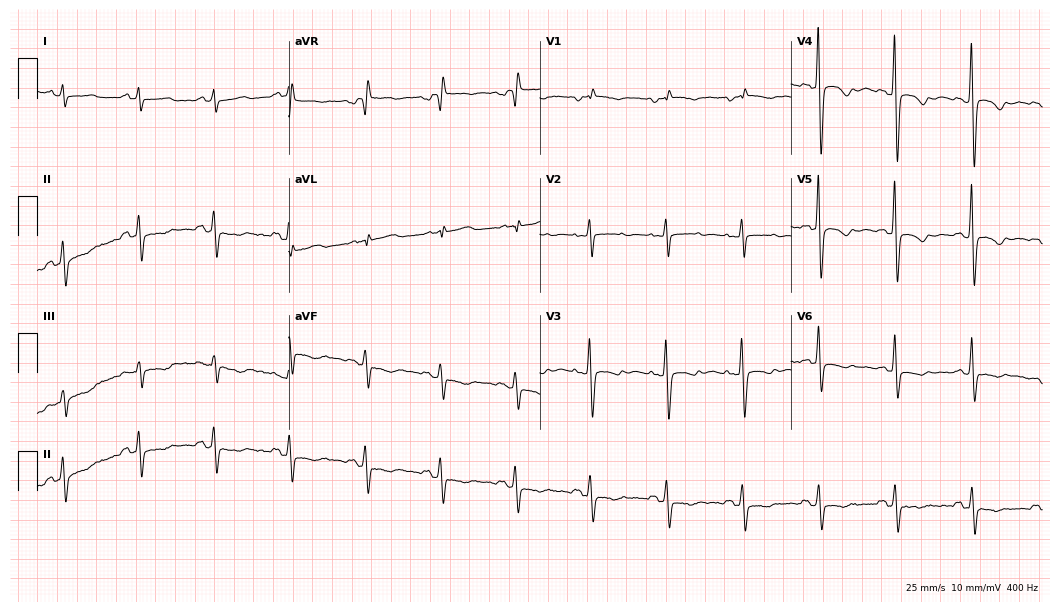
ECG — a 48-year-old female patient. Screened for six findings — first-degree AV block, right bundle branch block, left bundle branch block, sinus bradycardia, atrial fibrillation, sinus tachycardia — none is recorded. Other findings, if any, are not listed.